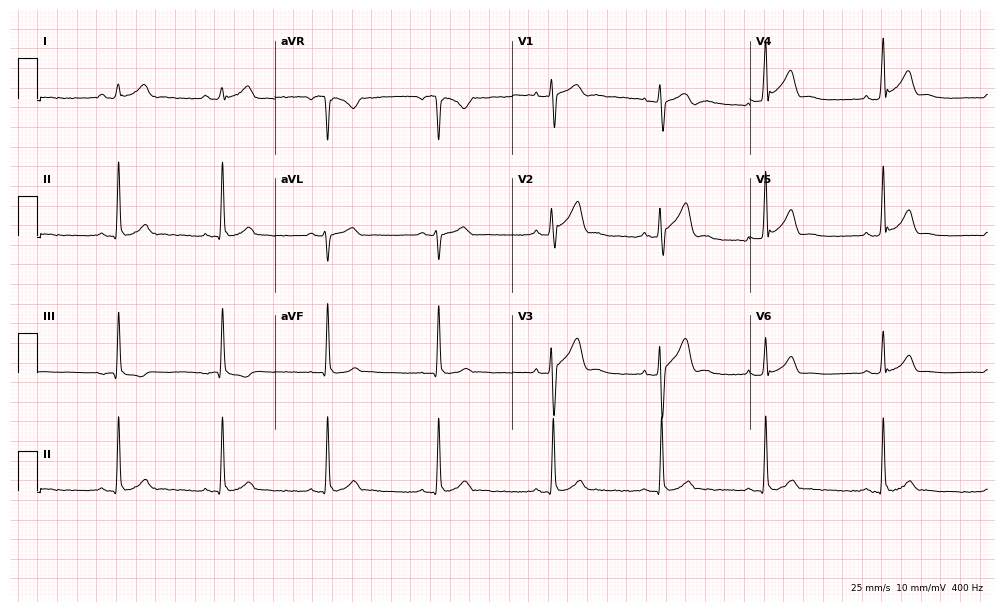
12-lead ECG from a man, 24 years old. Recorded interpretation: within normal limits.